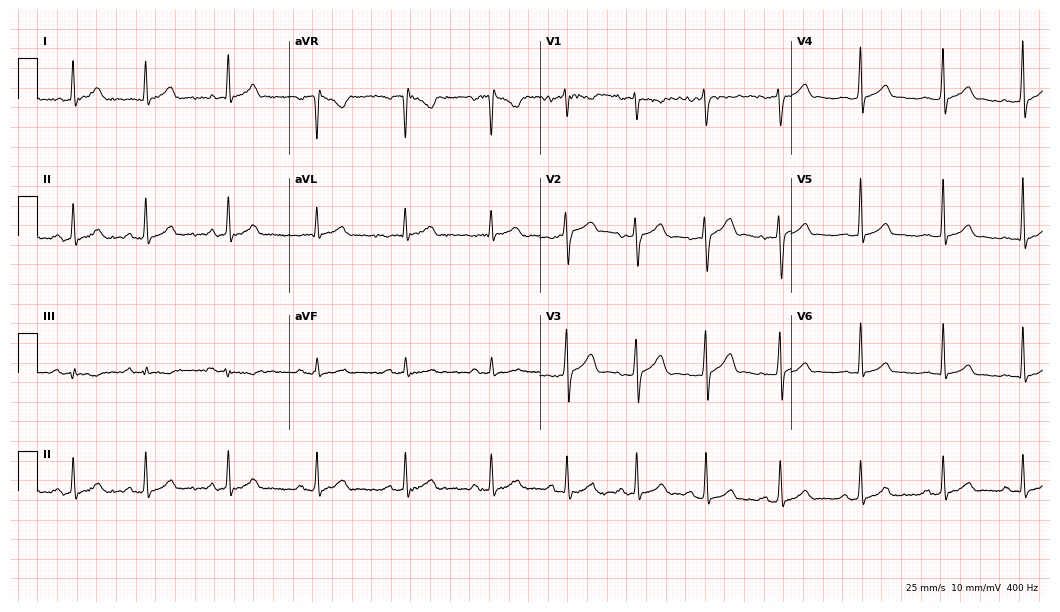
Electrocardiogram, a 30-year-old male patient. Overall reading on record: normal ECG.